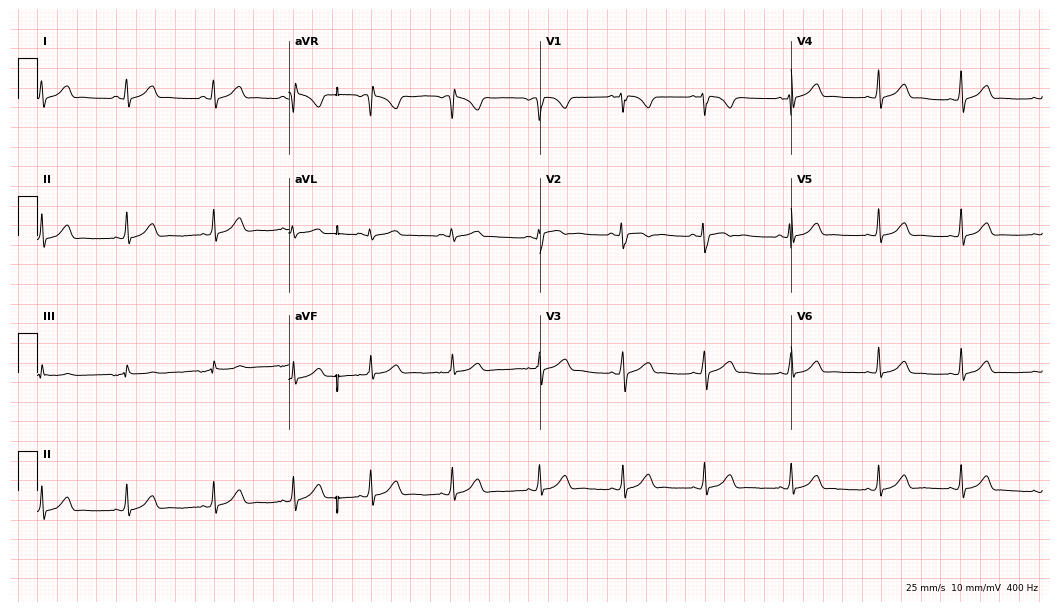
12-lead ECG from a 32-year-old female patient. Recorded interpretation: within normal limits.